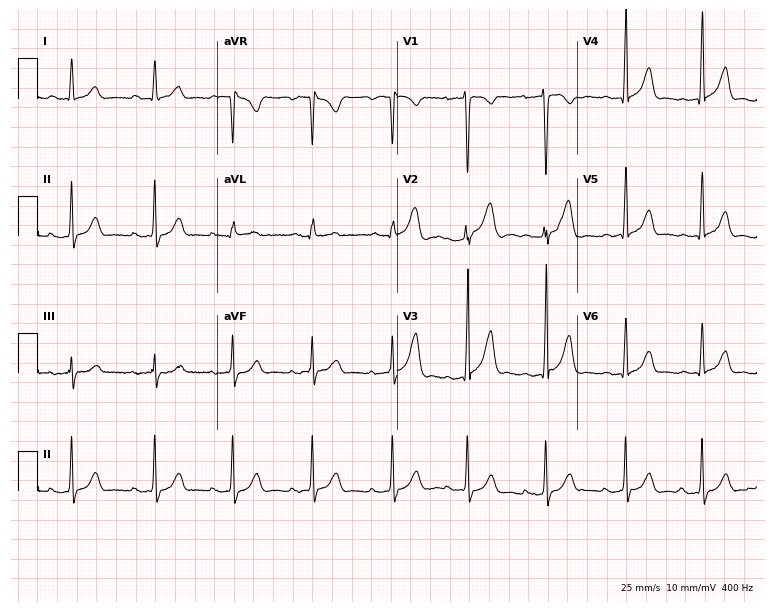
Standard 12-lead ECG recorded from a female, 22 years old (7.3-second recording at 400 Hz). None of these six findings is recorded: first-degree AV block, right bundle branch block, left bundle branch block, sinus bradycardia, atrial fibrillation, sinus tachycardia. Findings outside these six are not listed.